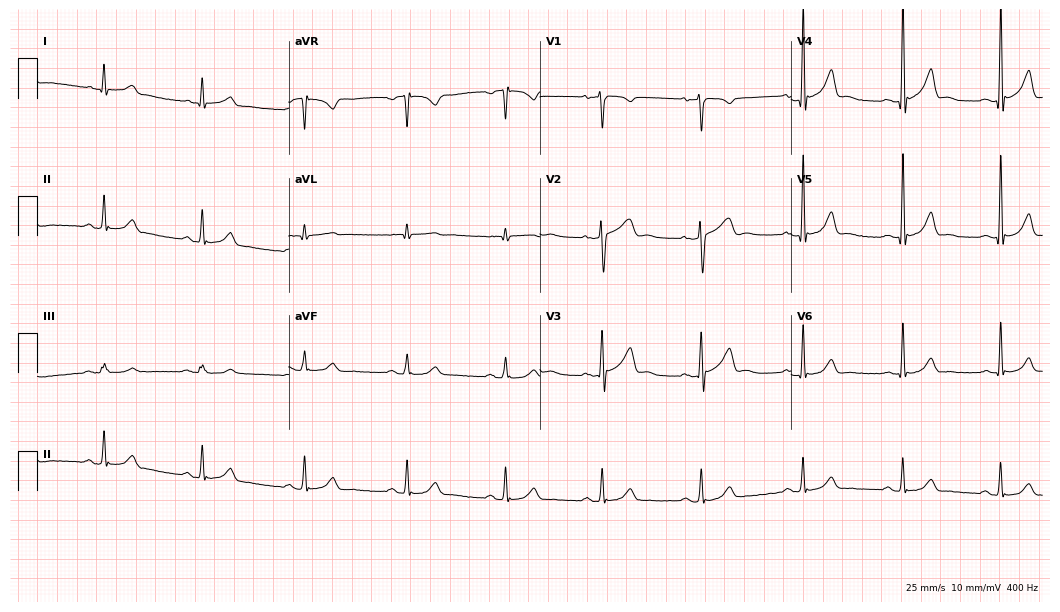
Electrocardiogram, a male, 54 years old. Overall reading on record: normal ECG.